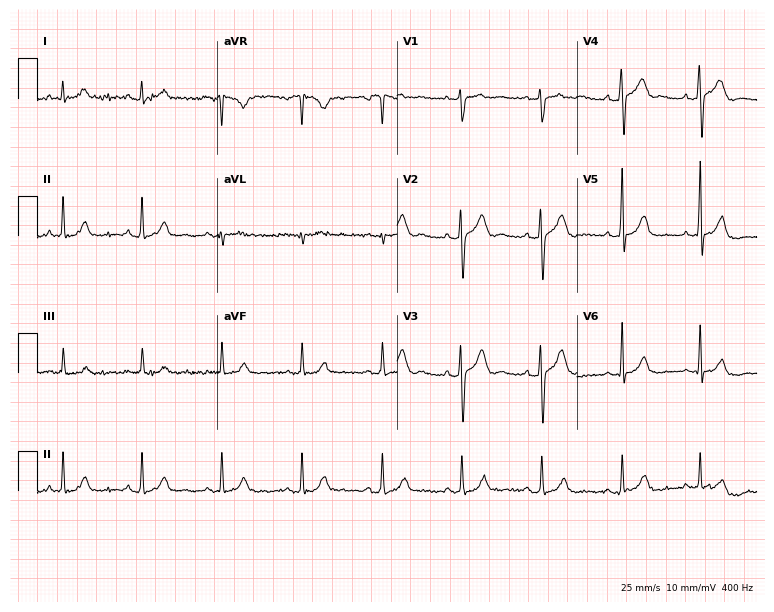
ECG — a male, 45 years old. Labelled as a normal ECG.